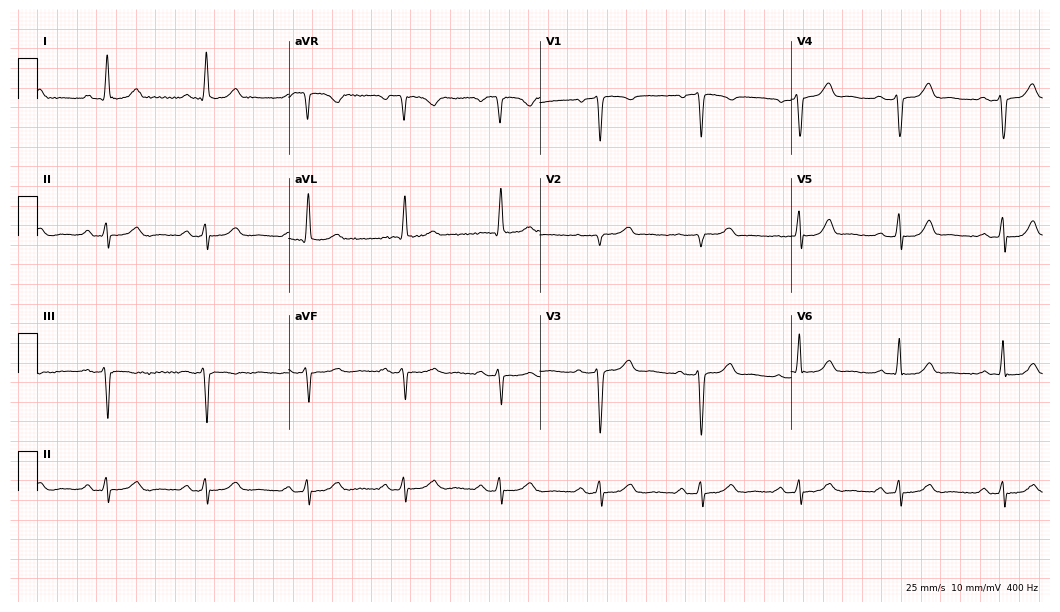
12-lead ECG from a woman, 54 years old (10.2-second recording at 400 Hz). No first-degree AV block, right bundle branch block (RBBB), left bundle branch block (LBBB), sinus bradycardia, atrial fibrillation (AF) or sinus tachycardia recorded for this tracing.